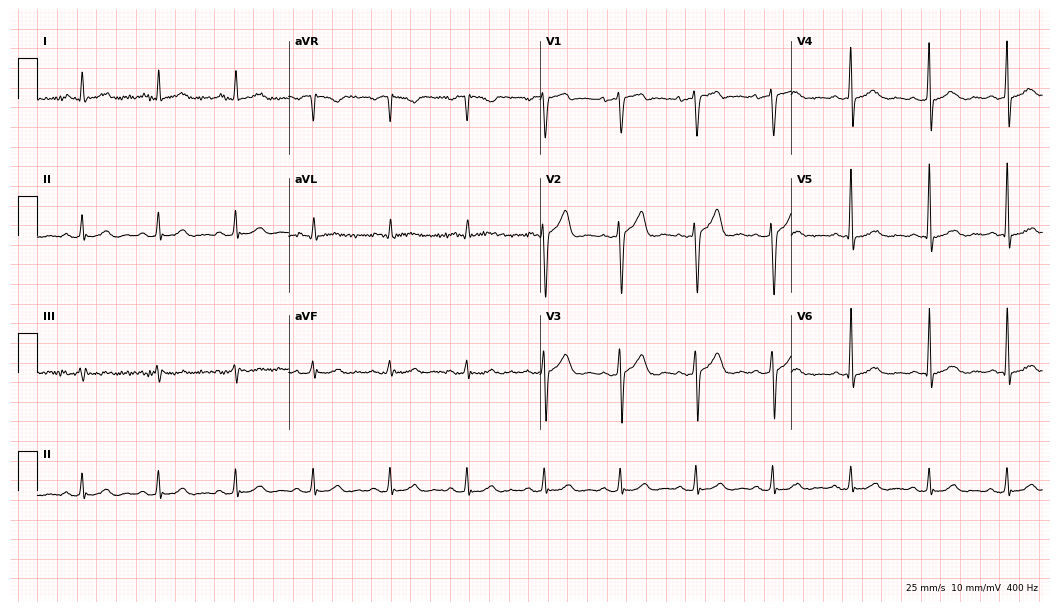
12-lead ECG from a 48-year-old male patient (10.2-second recording at 400 Hz). No first-degree AV block, right bundle branch block (RBBB), left bundle branch block (LBBB), sinus bradycardia, atrial fibrillation (AF) or sinus tachycardia recorded for this tracing. Other findings, if any, are not listed.